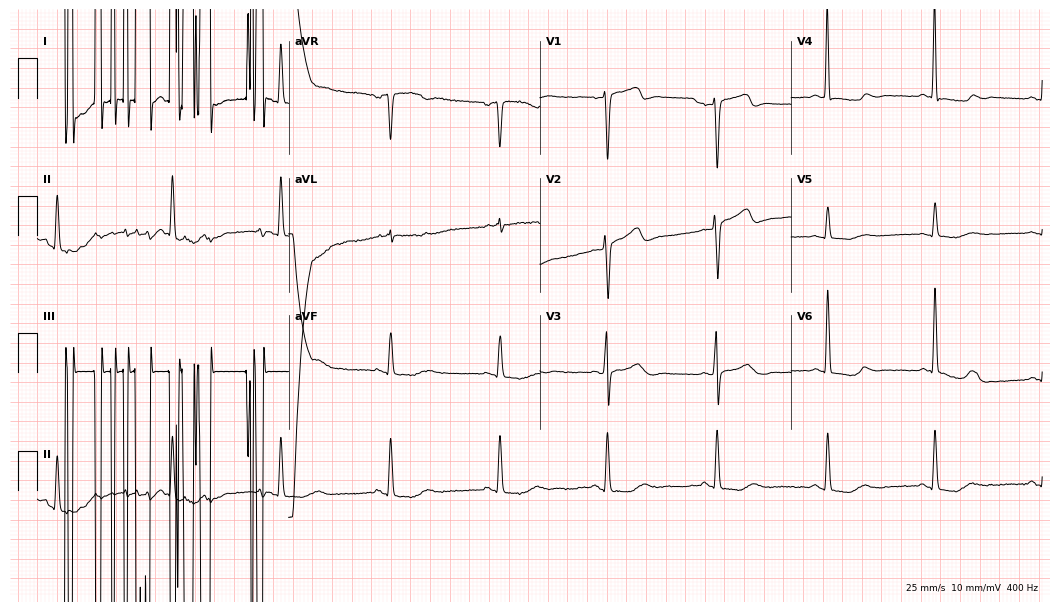
12-lead ECG from a female patient, 83 years old (10.2-second recording at 400 Hz). No first-degree AV block, right bundle branch block (RBBB), left bundle branch block (LBBB), sinus bradycardia, atrial fibrillation (AF) or sinus tachycardia recorded for this tracing.